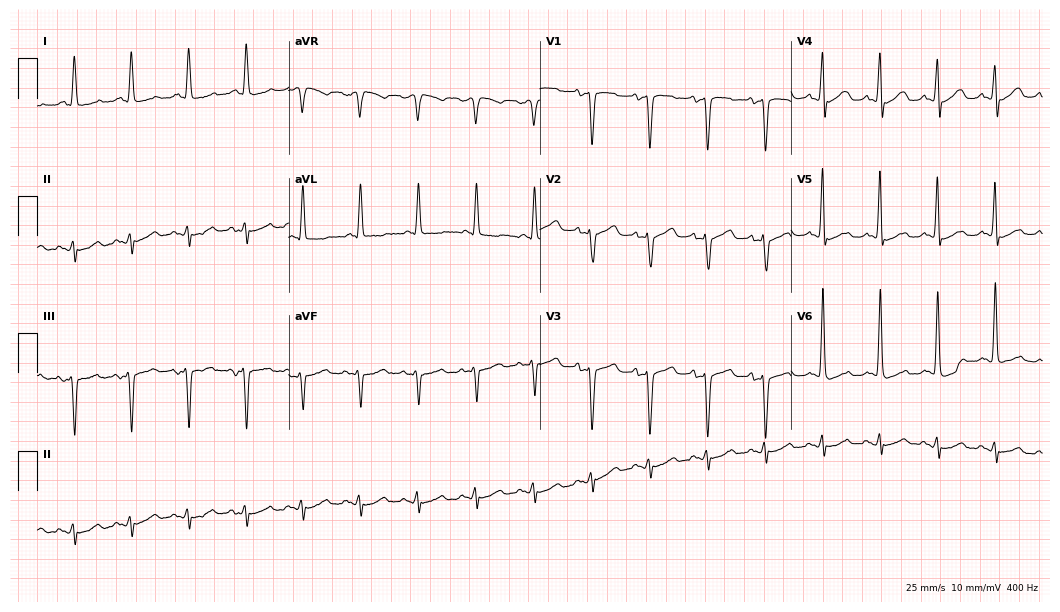
12-lead ECG (10.2-second recording at 400 Hz) from an 81-year-old female patient. Findings include sinus tachycardia (a sinus rate of 100 beats per minute or more).